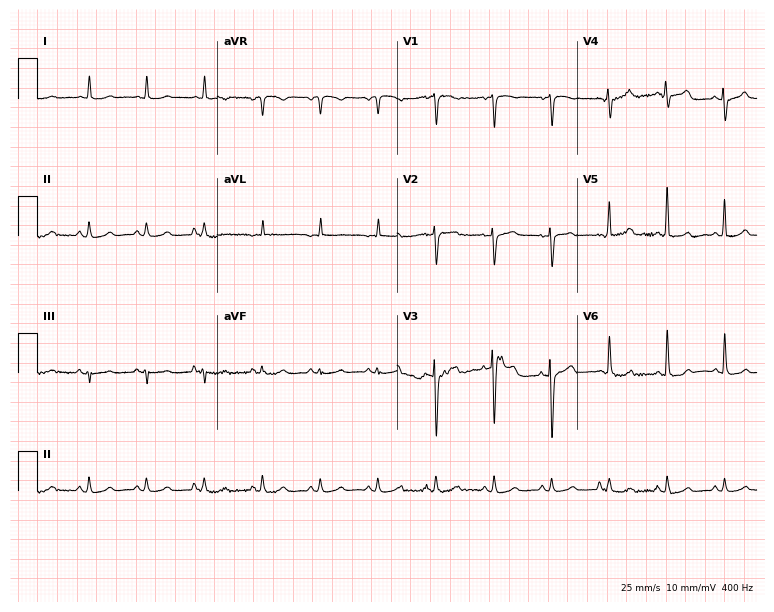
ECG (7.3-second recording at 400 Hz) — an 81-year-old female patient. Screened for six findings — first-degree AV block, right bundle branch block, left bundle branch block, sinus bradycardia, atrial fibrillation, sinus tachycardia — none is recorded.